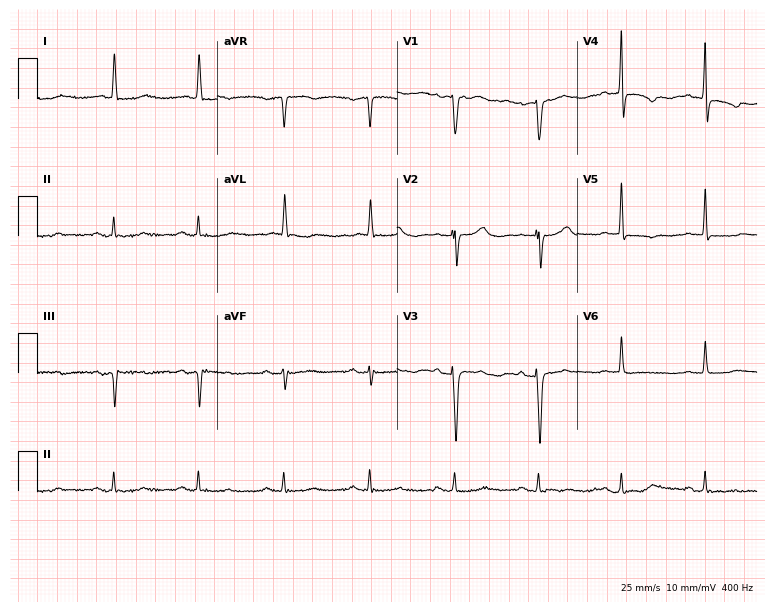
ECG — a 73-year-old man. Screened for six findings — first-degree AV block, right bundle branch block (RBBB), left bundle branch block (LBBB), sinus bradycardia, atrial fibrillation (AF), sinus tachycardia — none is recorded. Only these six findings were labelled.